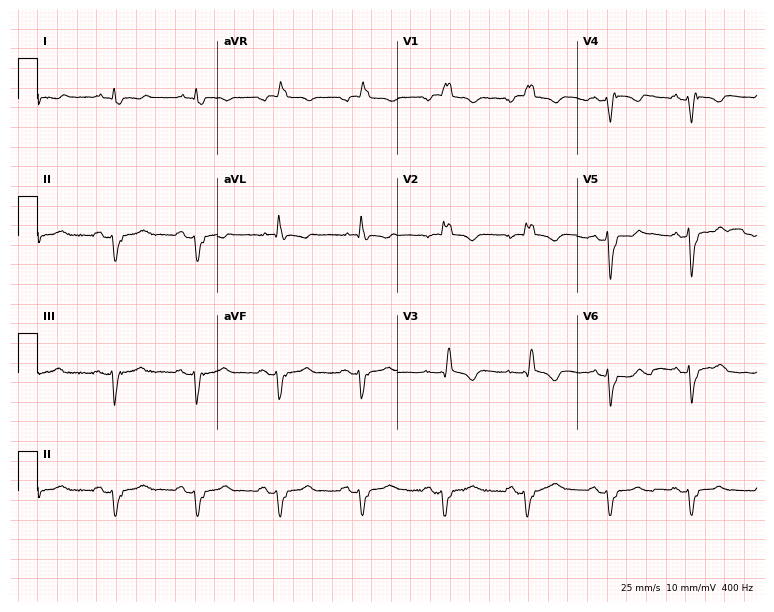
12-lead ECG from an 80-year-old male patient (7.3-second recording at 400 Hz). Shows right bundle branch block.